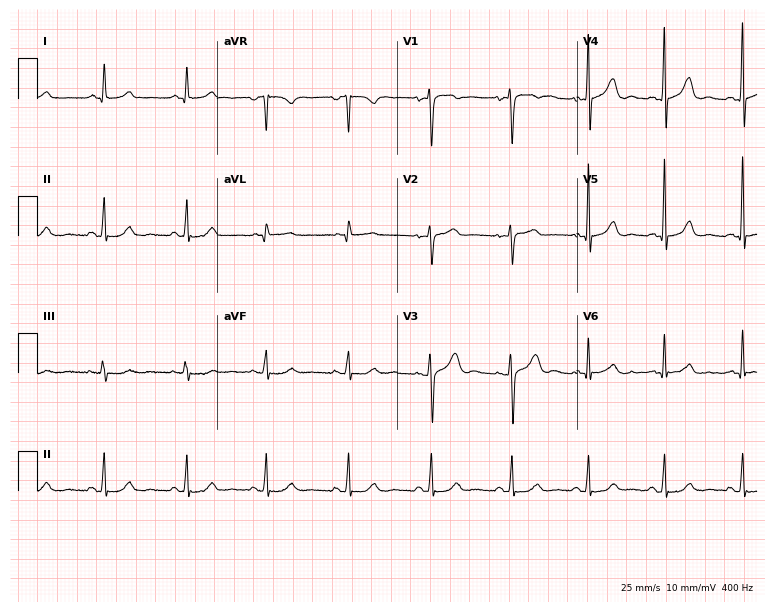
12-lead ECG from a female, 39 years old. Labelled as a normal ECG.